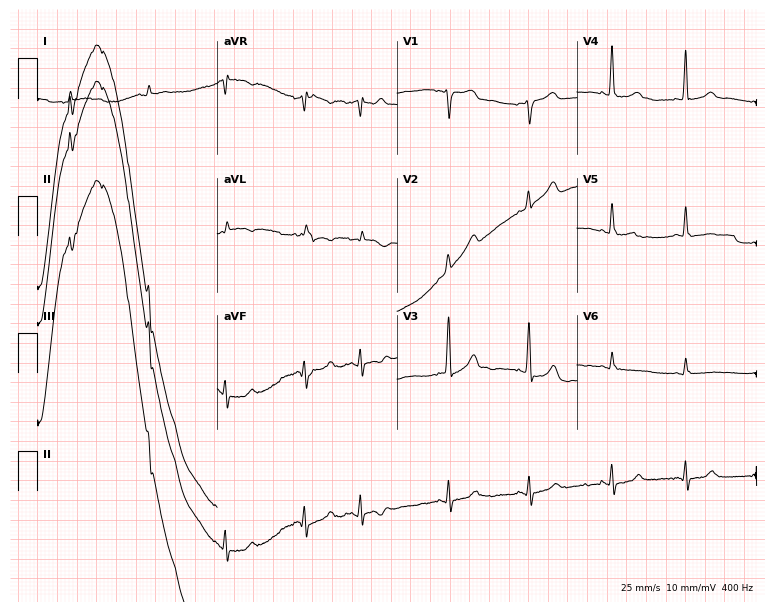
Electrocardiogram, a male patient, 79 years old. Of the six screened findings (first-degree AV block, right bundle branch block, left bundle branch block, sinus bradycardia, atrial fibrillation, sinus tachycardia), none is recorded.